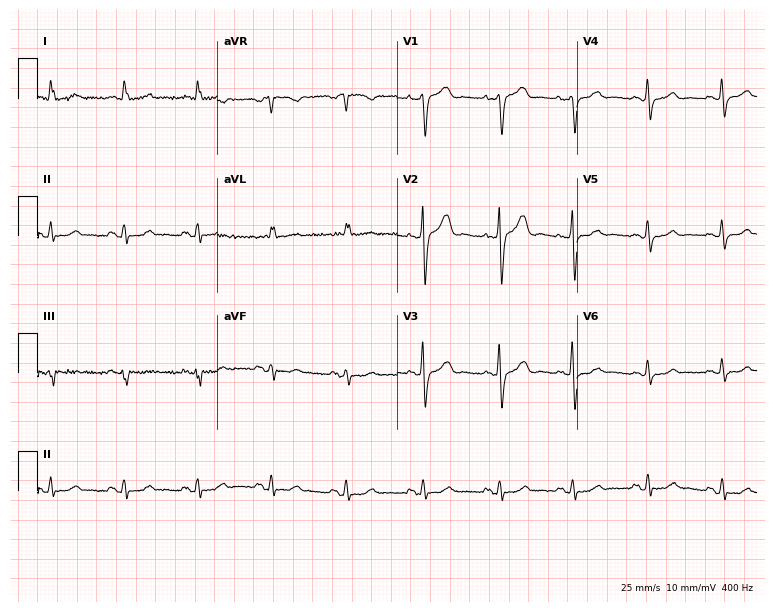
12-lead ECG from a female, 65 years old (7.3-second recording at 400 Hz). Recorded interpretation: within normal limits.